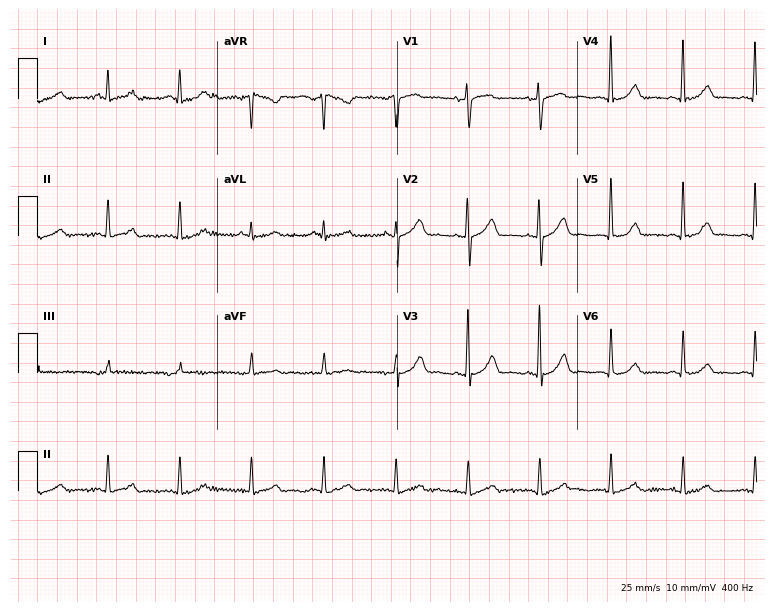
12-lead ECG (7.3-second recording at 400 Hz) from a 61-year-old female patient. Screened for six findings — first-degree AV block, right bundle branch block (RBBB), left bundle branch block (LBBB), sinus bradycardia, atrial fibrillation (AF), sinus tachycardia — none is recorded. Only these six findings were labelled.